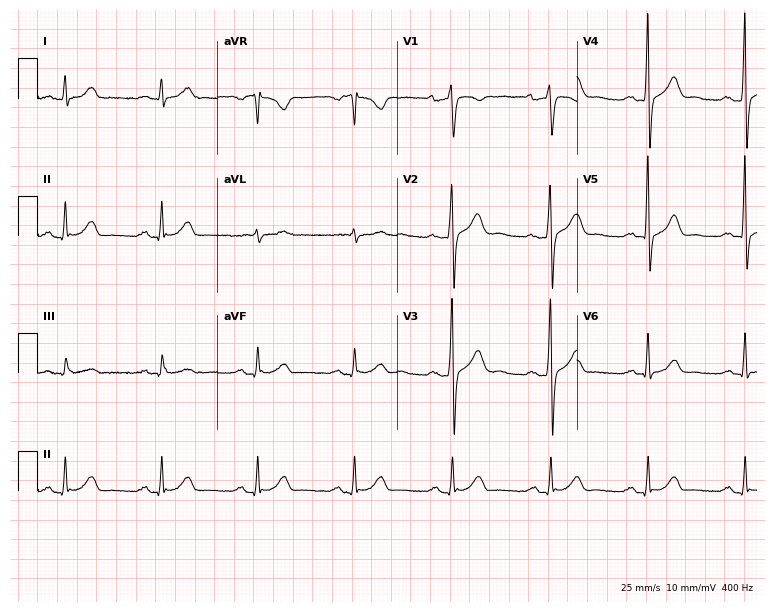
Resting 12-lead electrocardiogram. Patient: a 56-year-old male. None of these six findings is recorded: first-degree AV block, right bundle branch block, left bundle branch block, sinus bradycardia, atrial fibrillation, sinus tachycardia.